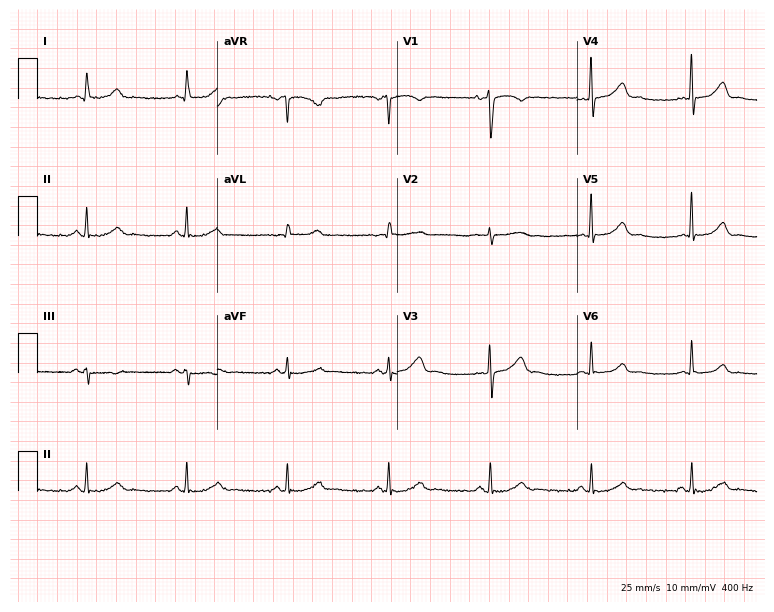
Electrocardiogram (7.3-second recording at 400 Hz), a 47-year-old female. Overall reading on record: normal ECG.